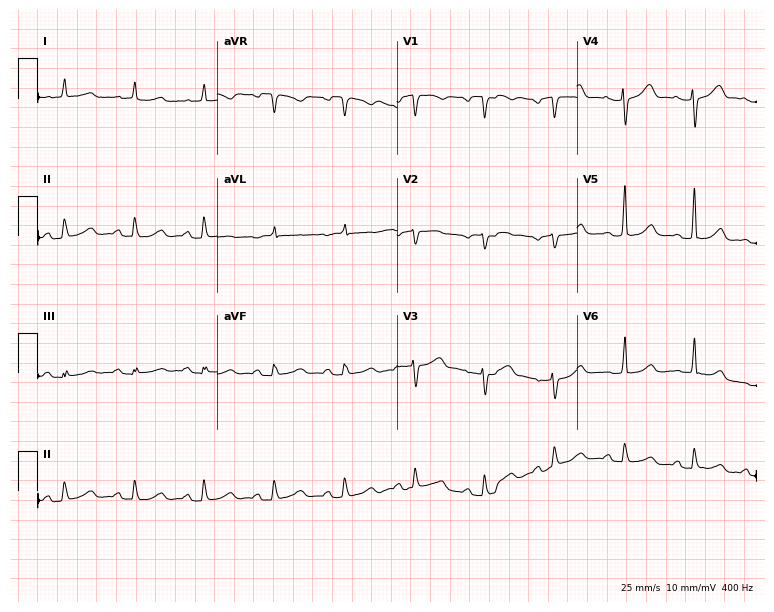
Electrocardiogram, a 78-year-old woman. Of the six screened findings (first-degree AV block, right bundle branch block, left bundle branch block, sinus bradycardia, atrial fibrillation, sinus tachycardia), none is recorded.